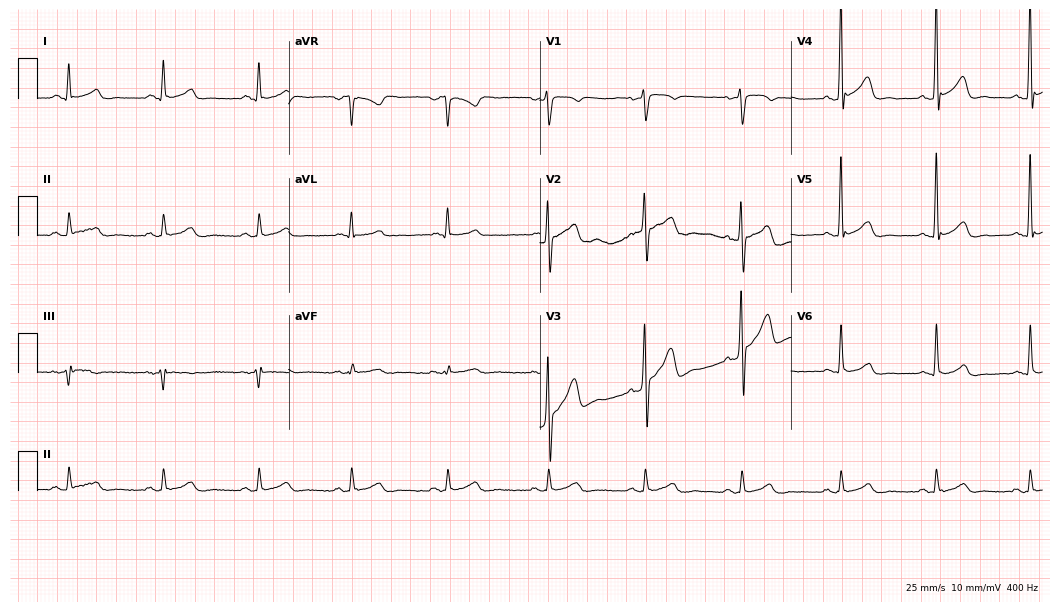
12-lead ECG from a 43-year-old male. Labelled as a normal ECG.